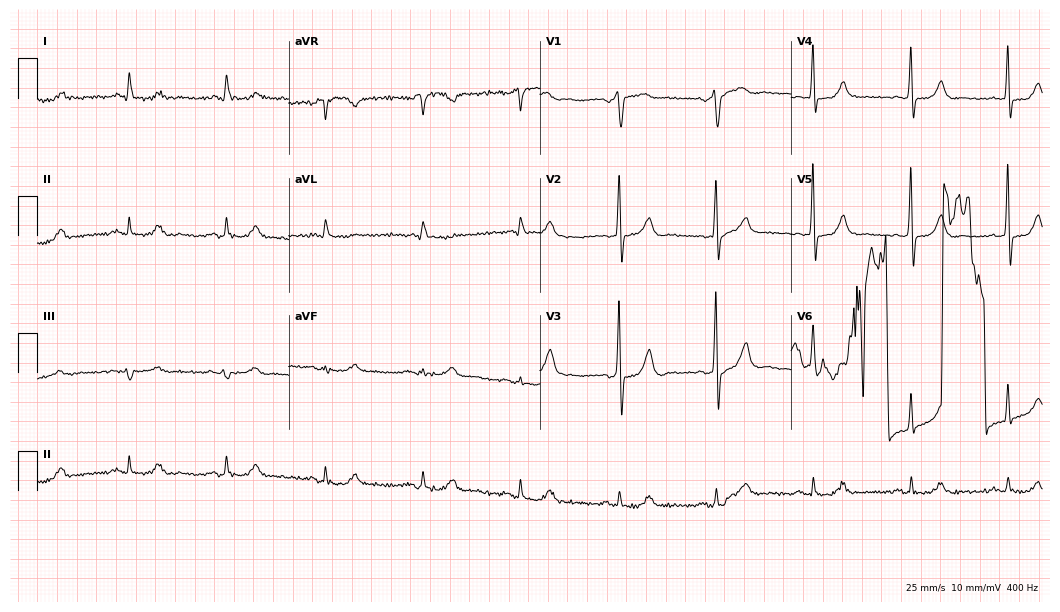
ECG — a male, 84 years old. Screened for six findings — first-degree AV block, right bundle branch block, left bundle branch block, sinus bradycardia, atrial fibrillation, sinus tachycardia — none is recorded.